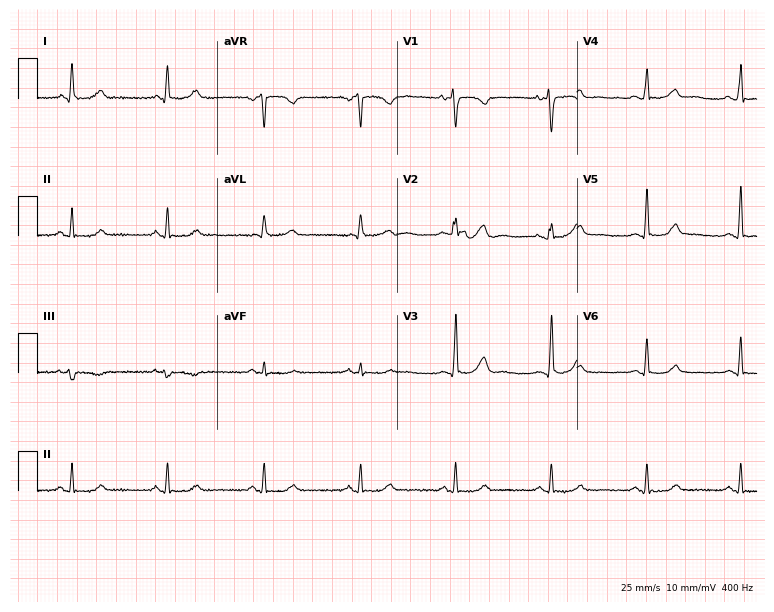
Resting 12-lead electrocardiogram. Patient: a 59-year-old female. Read as a normal ECG.